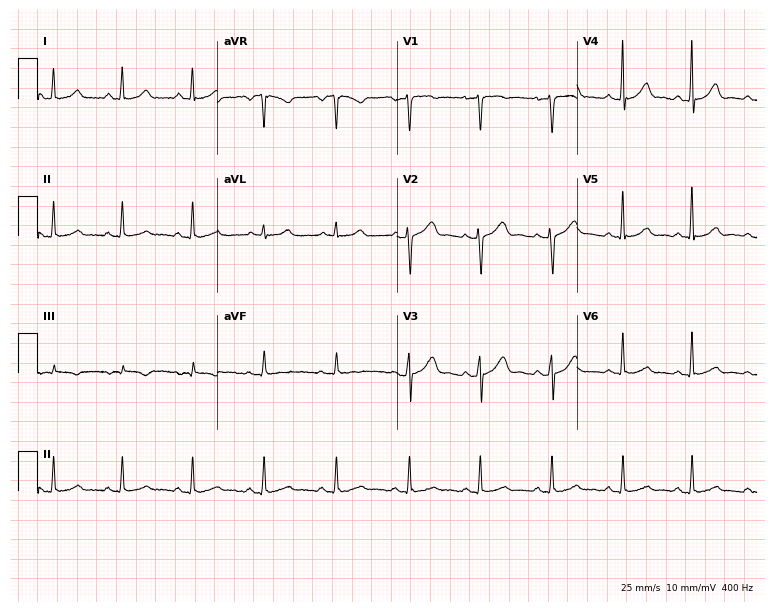
12-lead ECG from a 41-year-old woman. Labelled as a normal ECG.